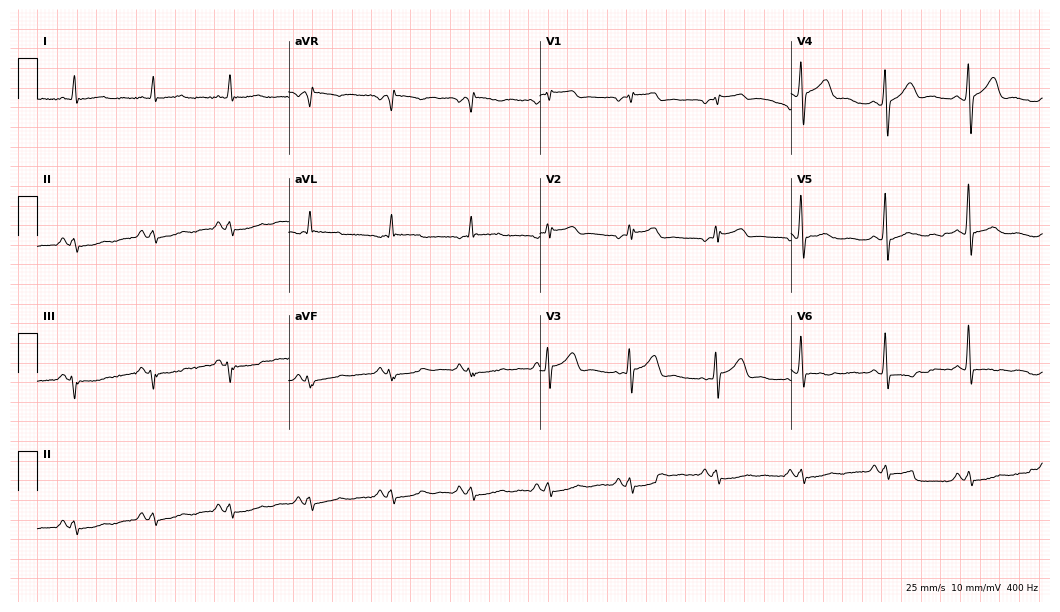
Electrocardiogram (10.2-second recording at 400 Hz), a 59-year-old male patient. Of the six screened findings (first-degree AV block, right bundle branch block, left bundle branch block, sinus bradycardia, atrial fibrillation, sinus tachycardia), none is recorded. Only these six findings were labelled.